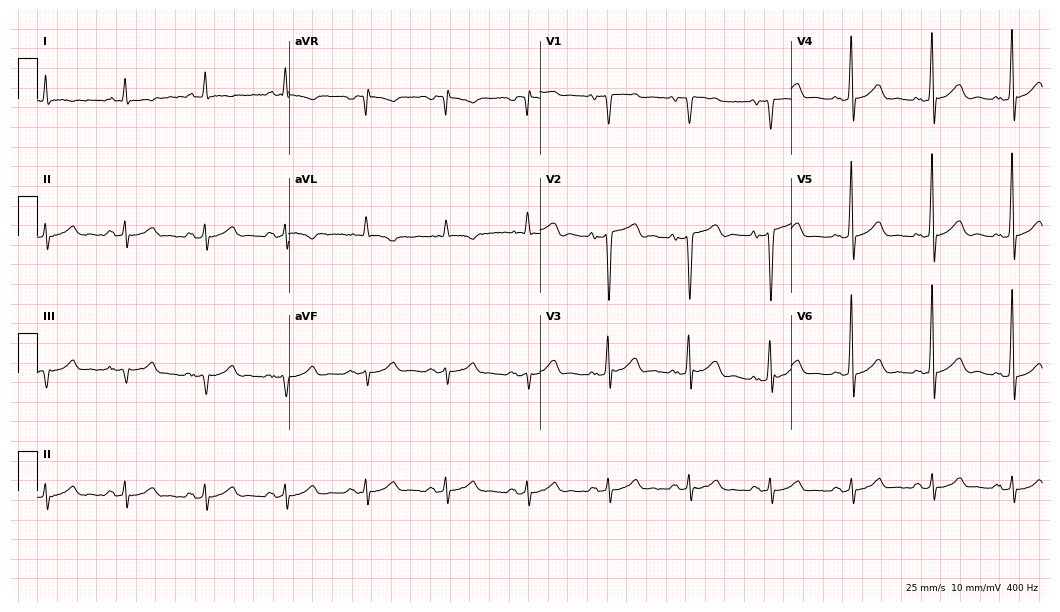
12-lead ECG from a male patient, 70 years old (10.2-second recording at 400 Hz). No first-degree AV block, right bundle branch block, left bundle branch block, sinus bradycardia, atrial fibrillation or sinus tachycardia recorded for this tracing. Other findings, if any, are not listed.